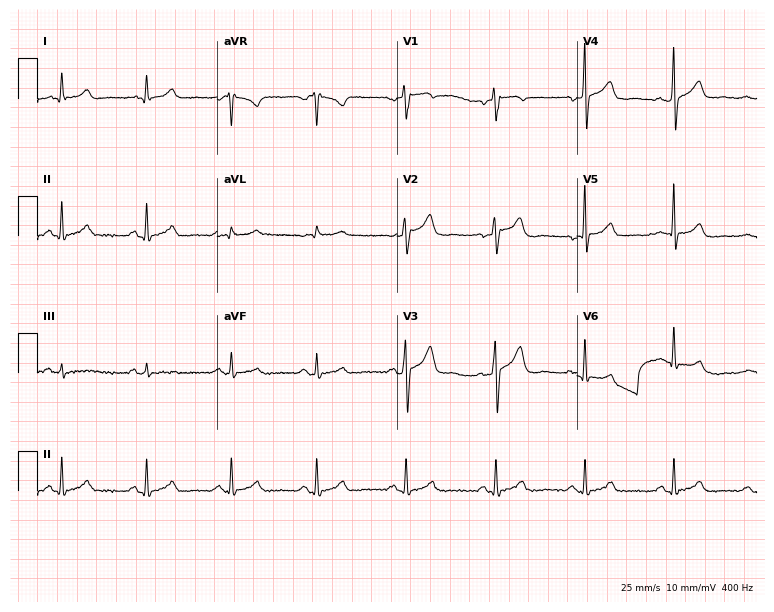
12-lead ECG from a 38-year-old man. Labelled as a normal ECG.